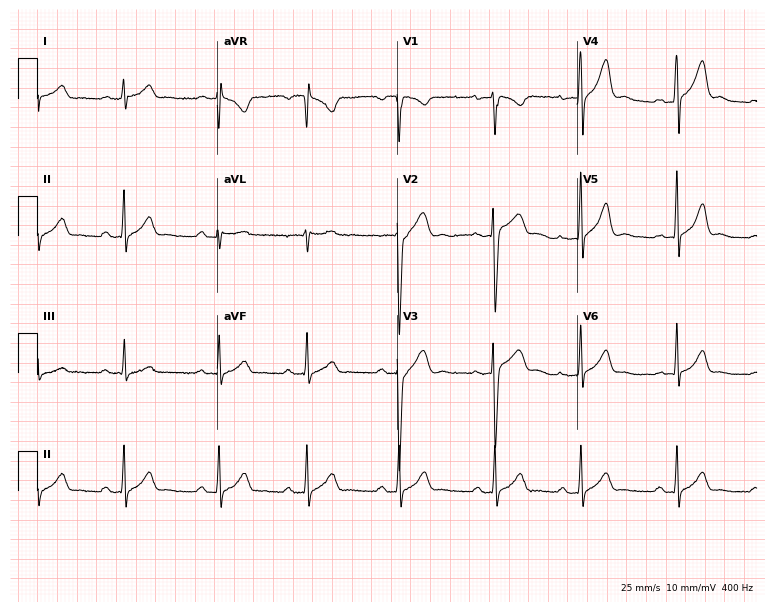
Resting 12-lead electrocardiogram. Patient: a male, 25 years old. None of these six findings is recorded: first-degree AV block, right bundle branch block, left bundle branch block, sinus bradycardia, atrial fibrillation, sinus tachycardia.